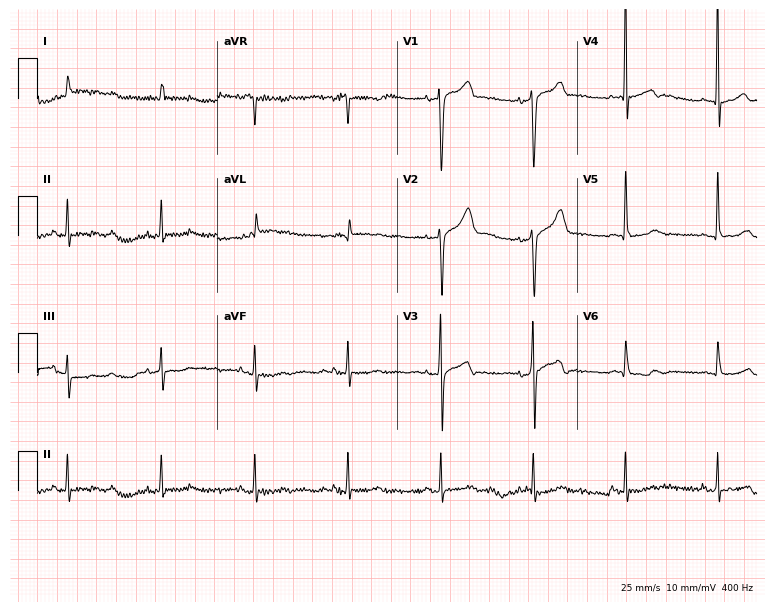
ECG (7.3-second recording at 400 Hz) — an 85-year-old male. Screened for six findings — first-degree AV block, right bundle branch block (RBBB), left bundle branch block (LBBB), sinus bradycardia, atrial fibrillation (AF), sinus tachycardia — none is recorded.